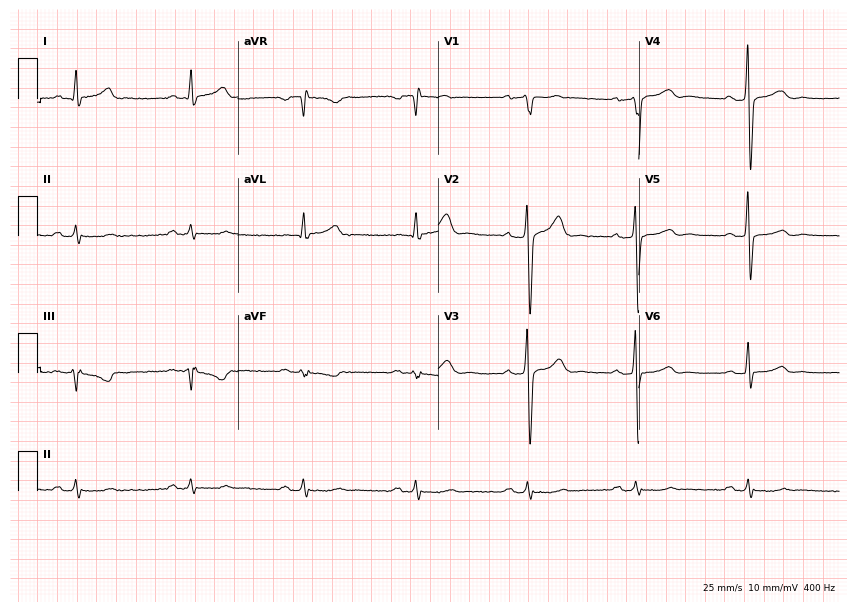
Electrocardiogram, a man, 60 years old. Of the six screened findings (first-degree AV block, right bundle branch block, left bundle branch block, sinus bradycardia, atrial fibrillation, sinus tachycardia), none is recorded.